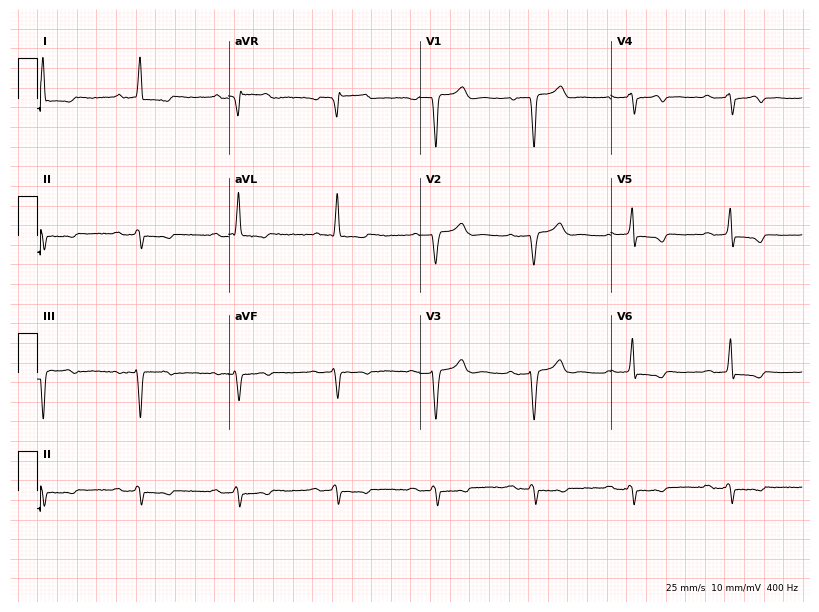
Resting 12-lead electrocardiogram (7.8-second recording at 400 Hz). Patient: a man, 82 years old. The tracing shows first-degree AV block.